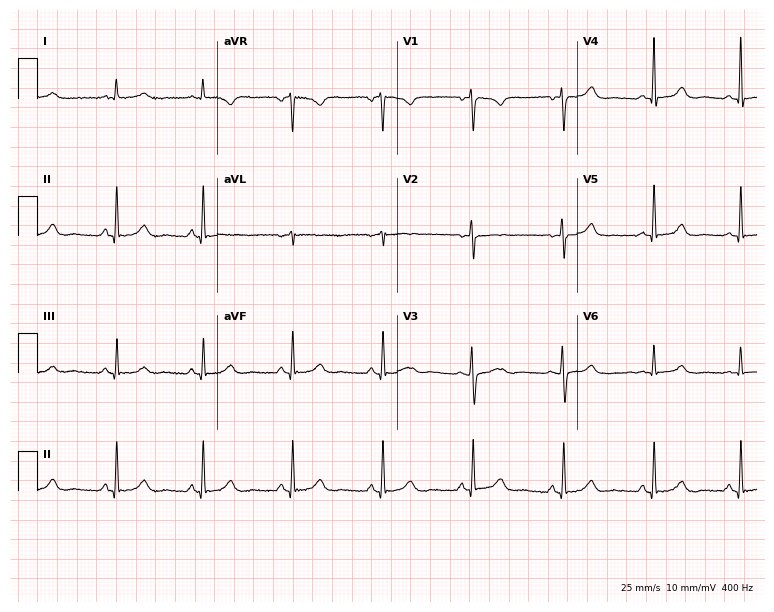
12-lead ECG from a female patient, 38 years old (7.3-second recording at 400 Hz). Recorded interpretation: within normal limits.